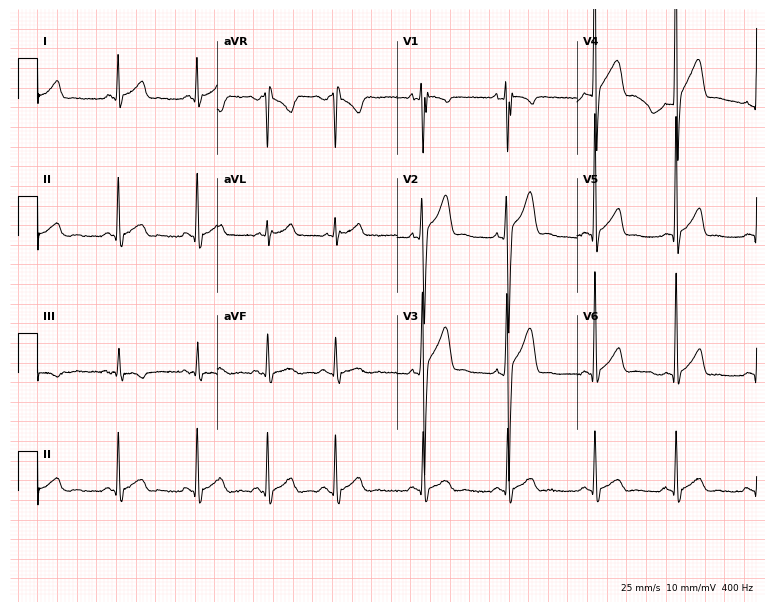
ECG — a male, 25 years old. Labelled as a normal ECG.